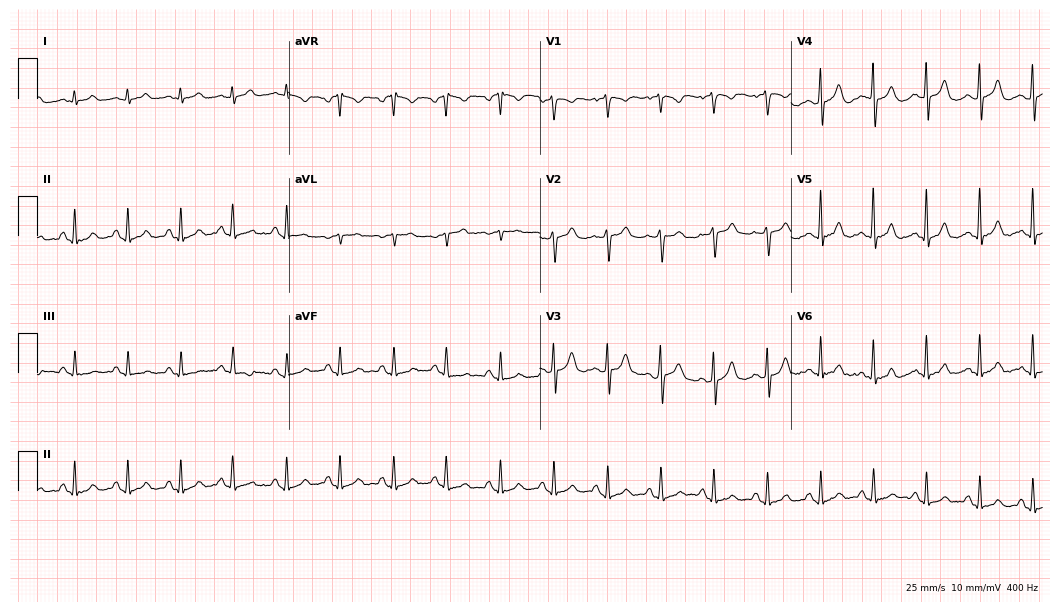
12-lead ECG from a female, 42 years old (10.2-second recording at 400 Hz). Shows sinus tachycardia (a sinus rate of 100 beats per minute or more).